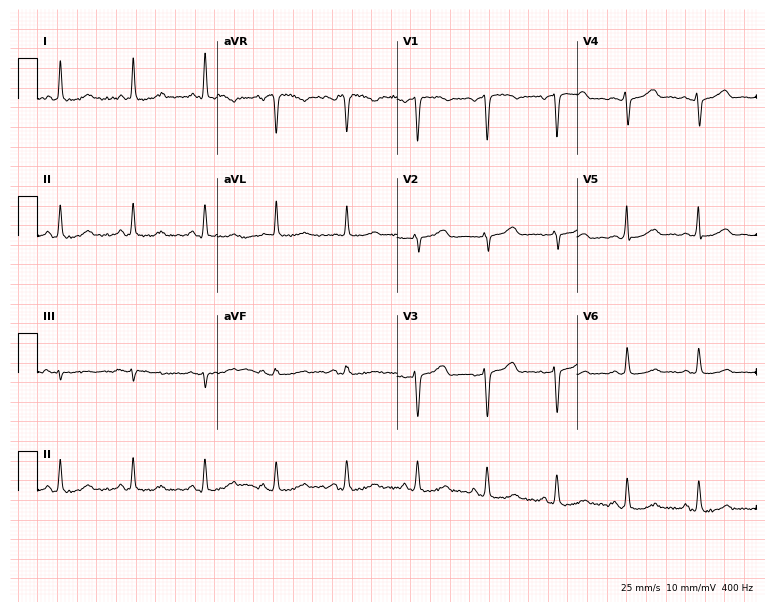
12-lead ECG (7.3-second recording at 400 Hz) from a woman, 56 years old. Screened for six findings — first-degree AV block, right bundle branch block (RBBB), left bundle branch block (LBBB), sinus bradycardia, atrial fibrillation (AF), sinus tachycardia — none is recorded. Other findings, if any, are not listed.